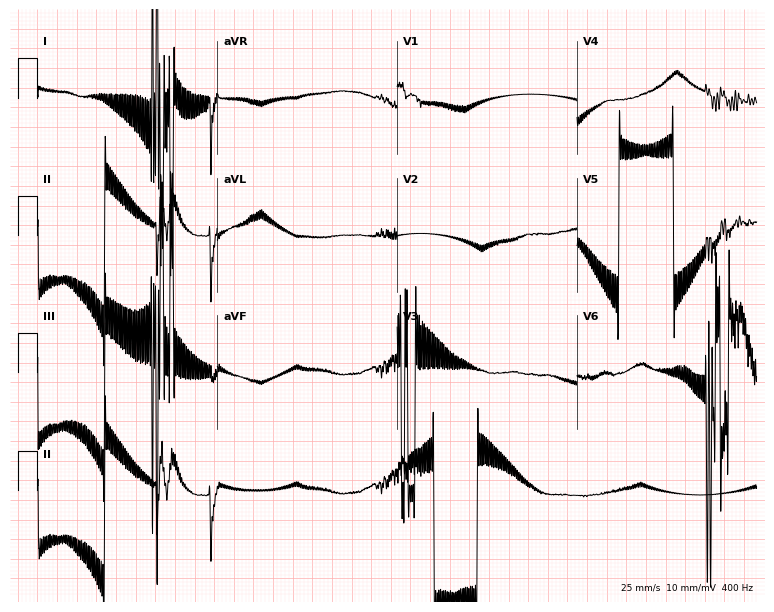
ECG — a female patient, 71 years old. Screened for six findings — first-degree AV block, right bundle branch block, left bundle branch block, sinus bradycardia, atrial fibrillation, sinus tachycardia — none is recorded. Other findings, if any, are not listed.